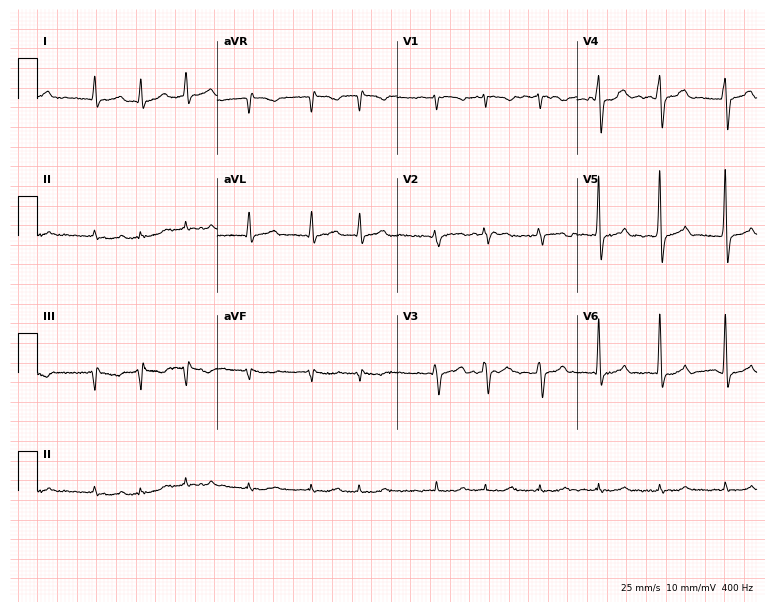
Resting 12-lead electrocardiogram (7.3-second recording at 400 Hz). Patient: a man, 70 years old. The tracing shows atrial fibrillation.